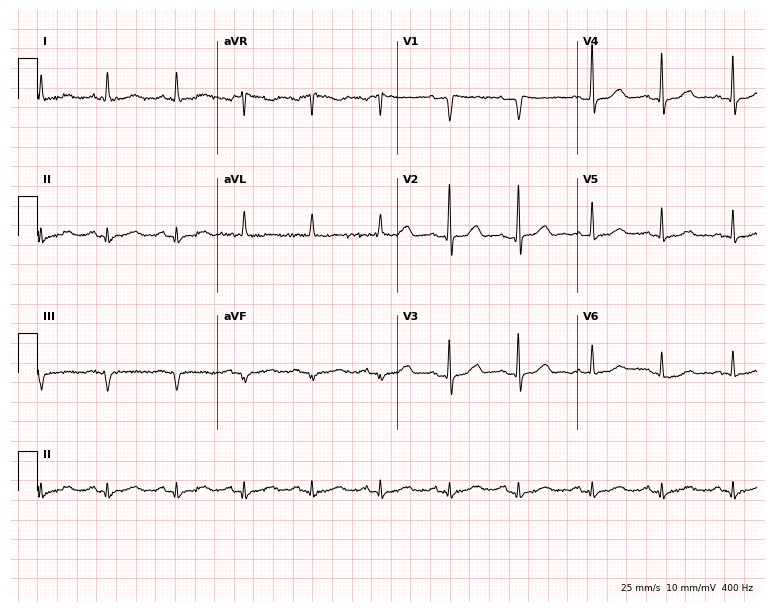
Electrocardiogram (7.3-second recording at 400 Hz), a male patient, 76 years old. Overall reading on record: normal ECG.